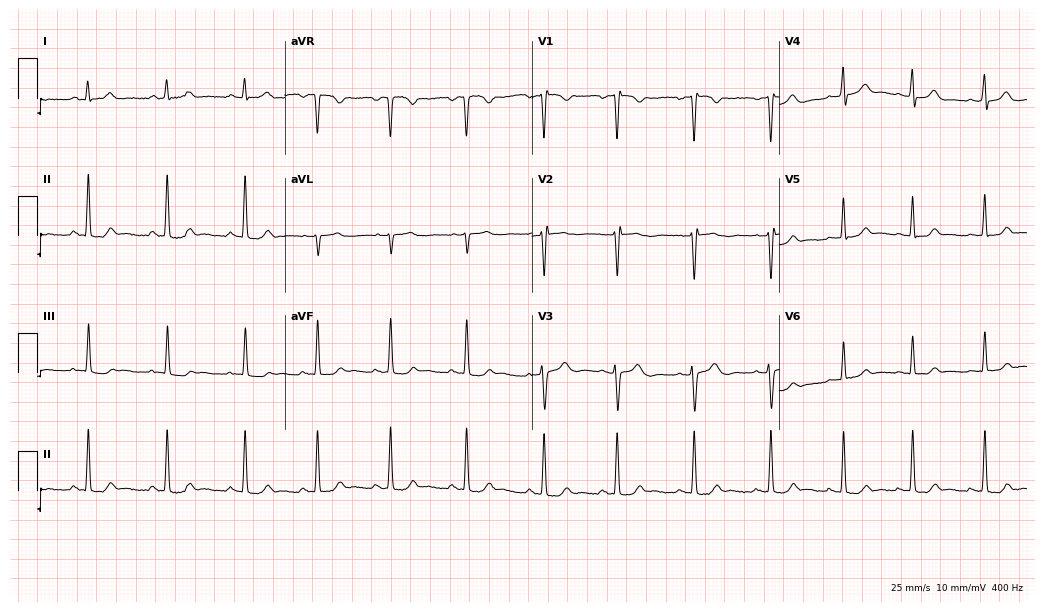
Resting 12-lead electrocardiogram. Patient: a female, 24 years old. None of these six findings is recorded: first-degree AV block, right bundle branch block, left bundle branch block, sinus bradycardia, atrial fibrillation, sinus tachycardia. Only these six findings were labelled.